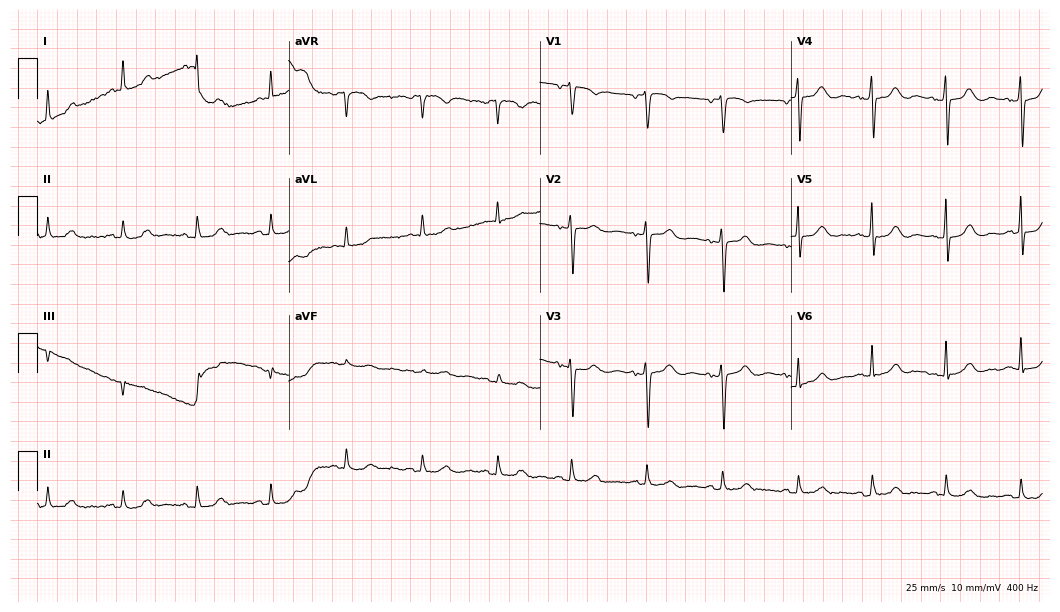
Standard 12-lead ECG recorded from a 77-year-old female (10.2-second recording at 400 Hz). None of these six findings is recorded: first-degree AV block, right bundle branch block, left bundle branch block, sinus bradycardia, atrial fibrillation, sinus tachycardia.